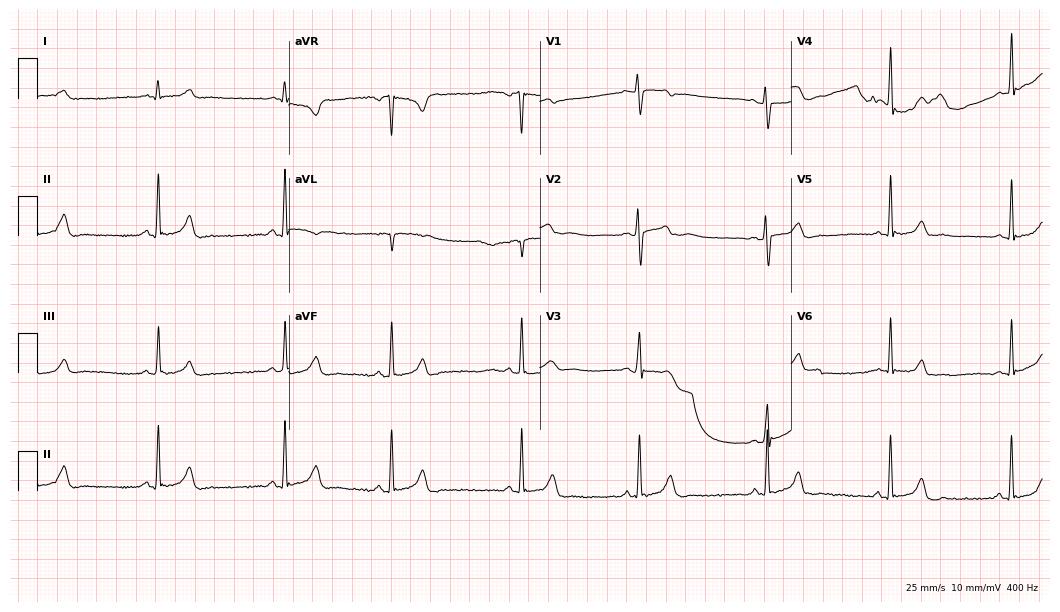
12-lead ECG from a 24-year-old female patient. Findings include sinus bradycardia (a sinus rate of 50 beats per minute or less).